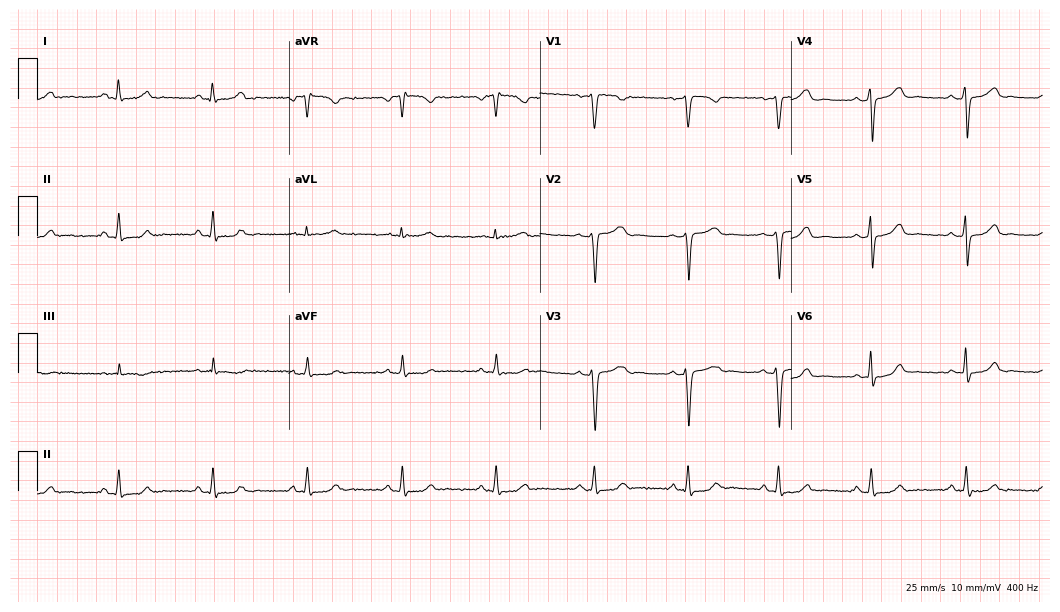
Electrocardiogram, a female, 34 years old. Overall reading on record: normal ECG.